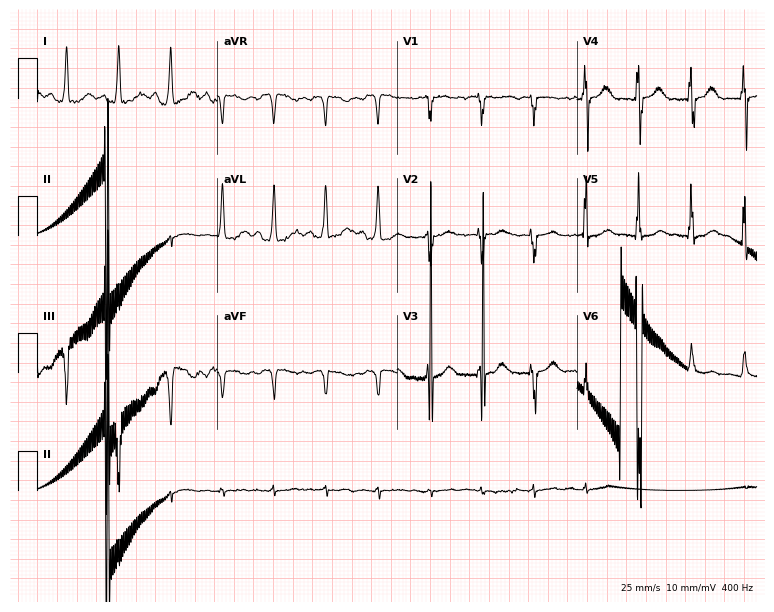
12-lead ECG from a 49-year-old female patient. No first-degree AV block, right bundle branch block (RBBB), left bundle branch block (LBBB), sinus bradycardia, atrial fibrillation (AF) or sinus tachycardia recorded for this tracing.